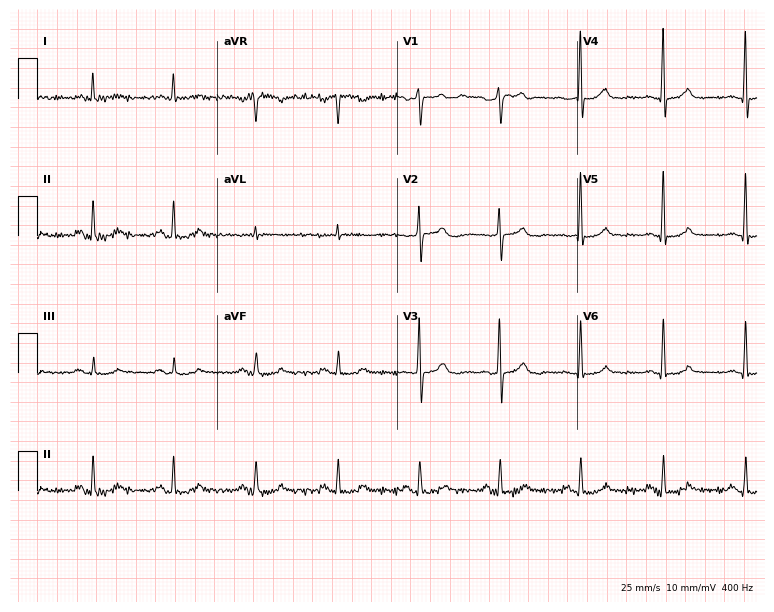
Resting 12-lead electrocardiogram. Patient: a 72-year-old man. Read as a normal ECG.